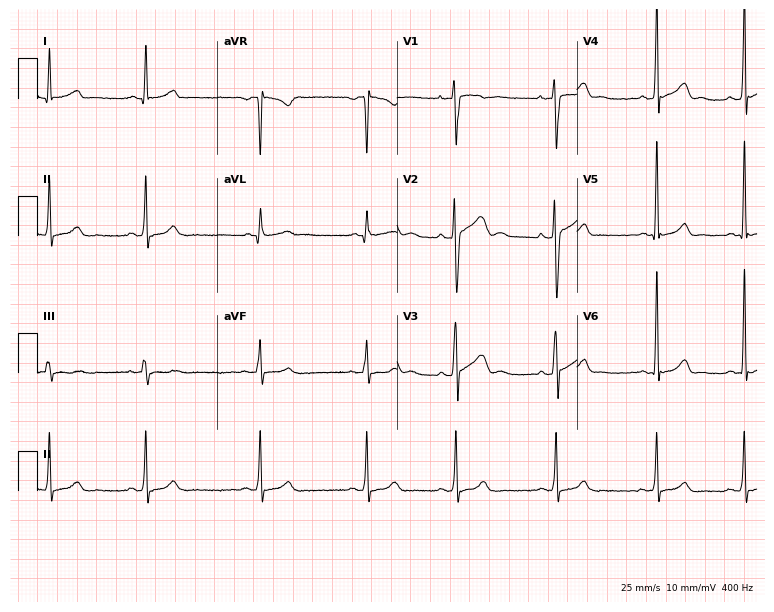
Resting 12-lead electrocardiogram (7.3-second recording at 400 Hz). Patient: a male, 25 years old. Read as a normal ECG.